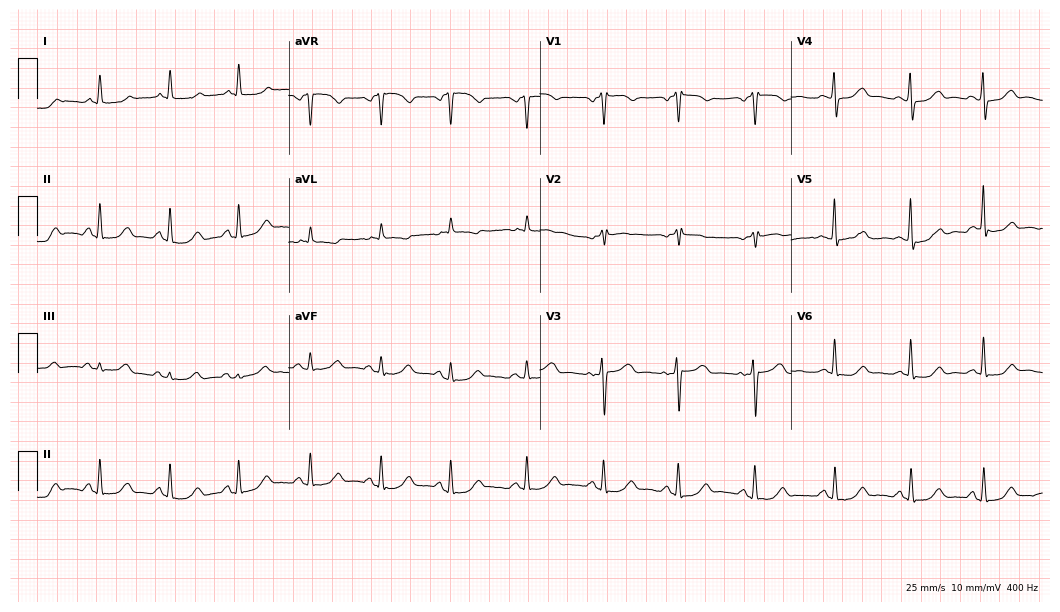
12-lead ECG from a 74-year-old female (10.2-second recording at 400 Hz). Recorded interpretation: within normal limits.